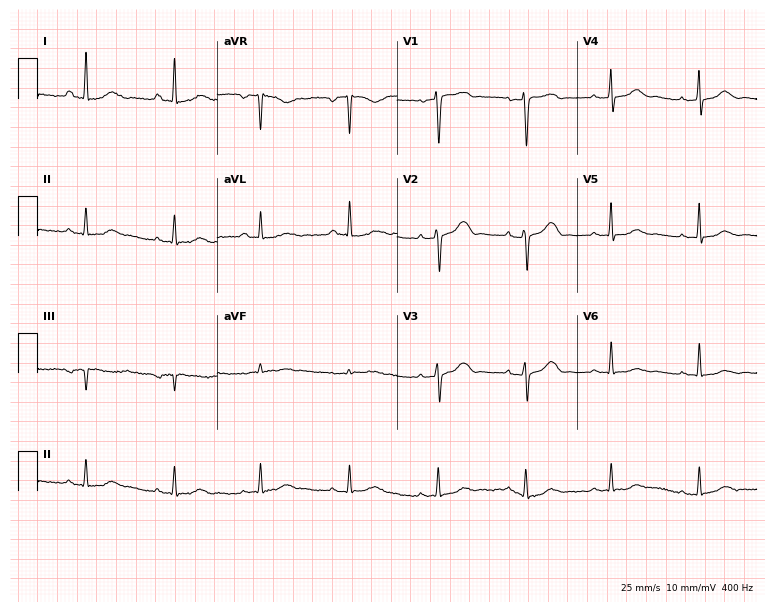
Resting 12-lead electrocardiogram (7.3-second recording at 400 Hz). Patient: a 74-year-old female. None of these six findings is recorded: first-degree AV block, right bundle branch block, left bundle branch block, sinus bradycardia, atrial fibrillation, sinus tachycardia. Other findings, if any, are not listed.